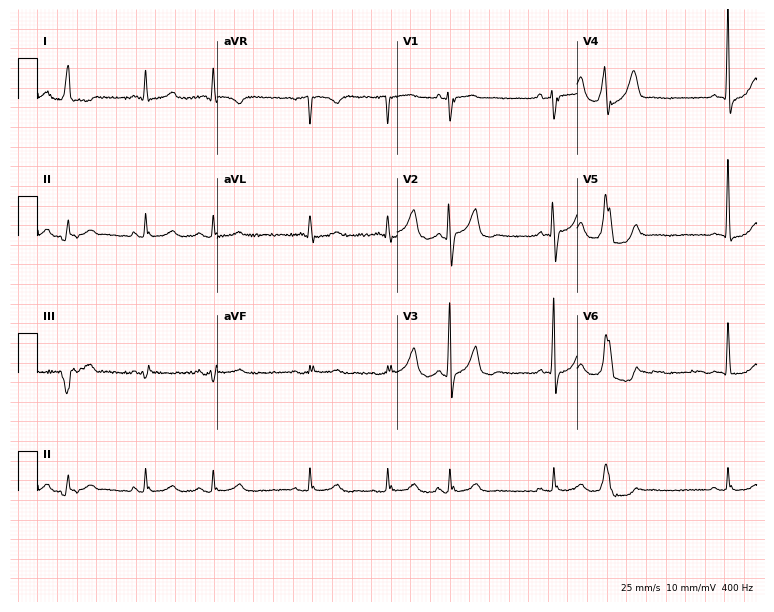
Resting 12-lead electrocardiogram (7.3-second recording at 400 Hz). Patient: a 72-year-old man. Read as a normal ECG.